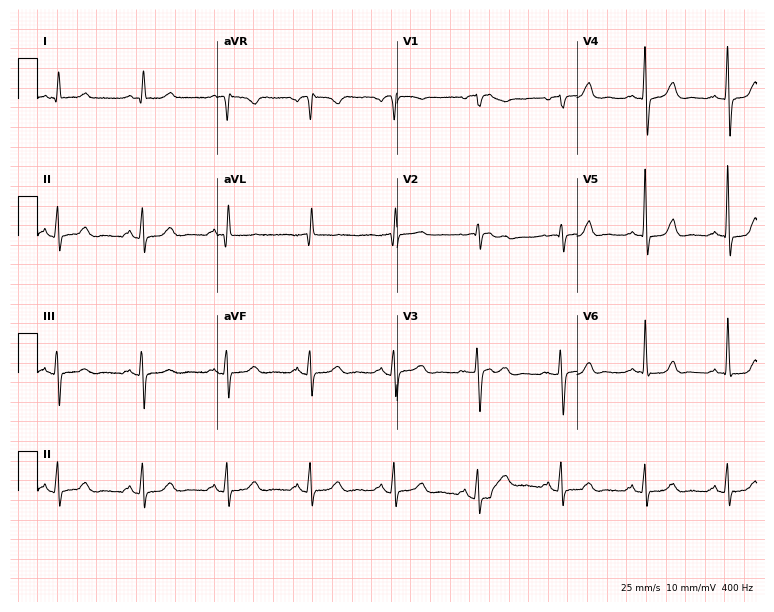
Electrocardiogram (7.3-second recording at 400 Hz), a female patient, 64 years old. Overall reading on record: normal ECG.